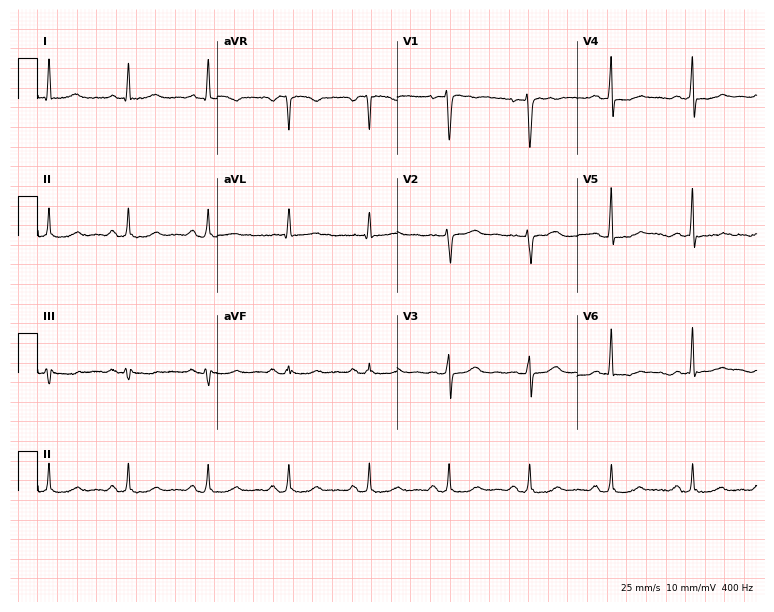
Standard 12-lead ECG recorded from a 57-year-old woman. None of these six findings is recorded: first-degree AV block, right bundle branch block, left bundle branch block, sinus bradycardia, atrial fibrillation, sinus tachycardia. Other findings, if any, are not listed.